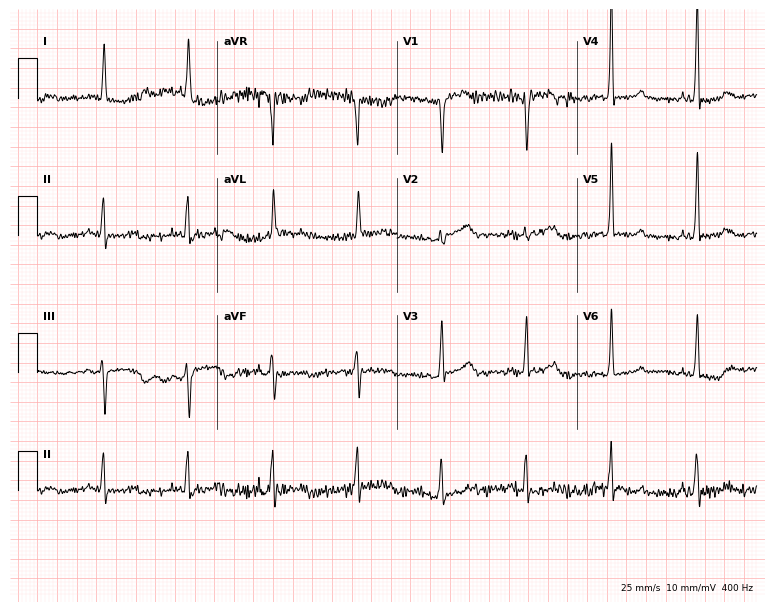
ECG (7.3-second recording at 400 Hz) — a 67-year-old female. Screened for six findings — first-degree AV block, right bundle branch block (RBBB), left bundle branch block (LBBB), sinus bradycardia, atrial fibrillation (AF), sinus tachycardia — none is recorded. Findings outside these six are not listed.